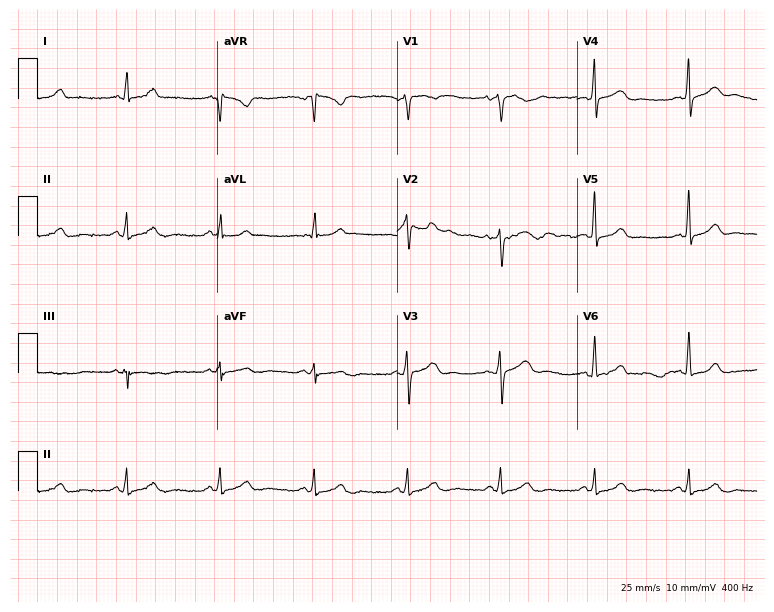
12-lead ECG (7.3-second recording at 400 Hz) from a 45-year-old female patient. Labelled as a normal ECG.